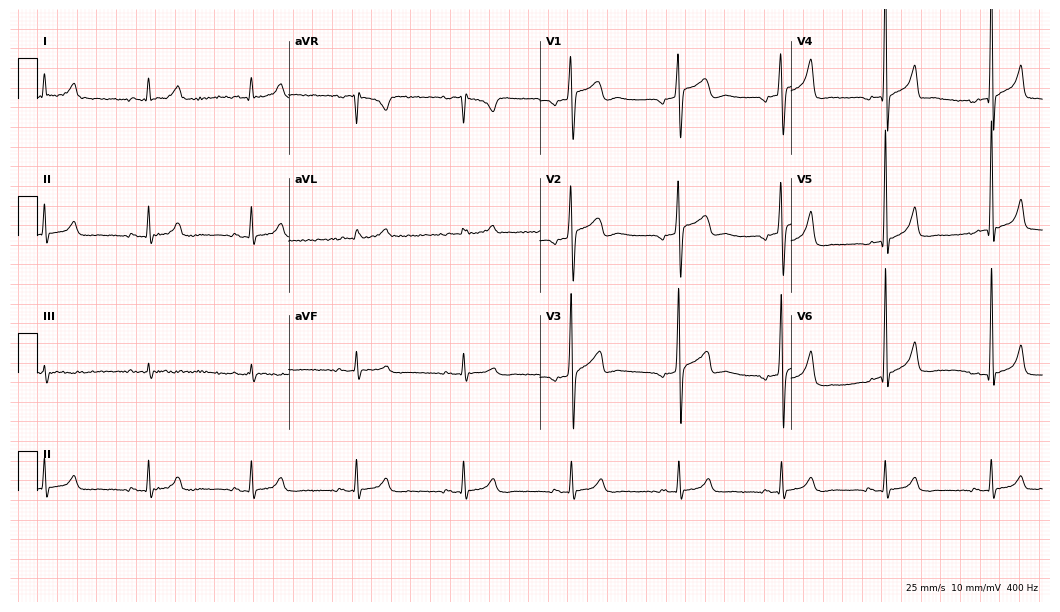
12-lead ECG from a male, 37 years old. No first-degree AV block, right bundle branch block (RBBB), left bundle branch block (LBBB), sinus bradycardia, atrial fibrillation (AF) or sinus tachycardia recorded for this tracing. Findings outside these six are not listed.